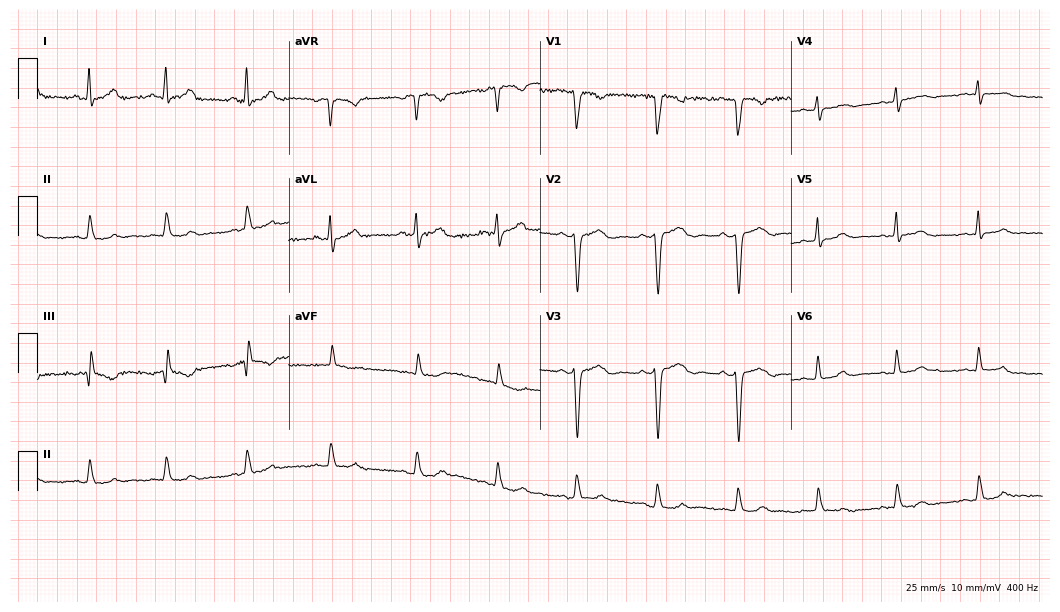
12-lead ECG from a 31-year-old female. Recorded interpretation: within normal limits.